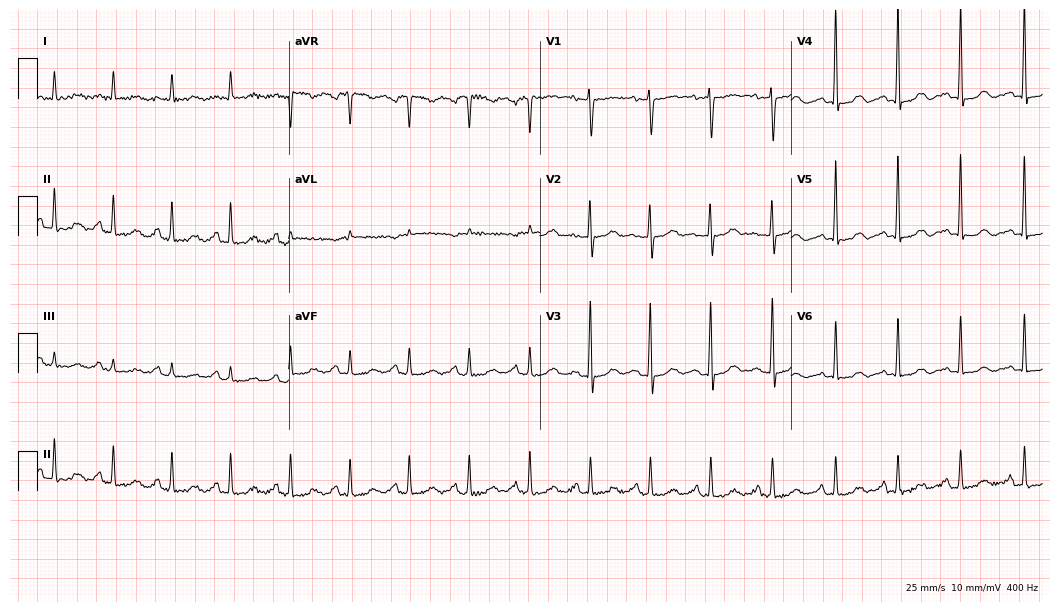
Resting 12-lead electrocardiogram. Patient: an 80-year-old woman. Read as a normal ECG.